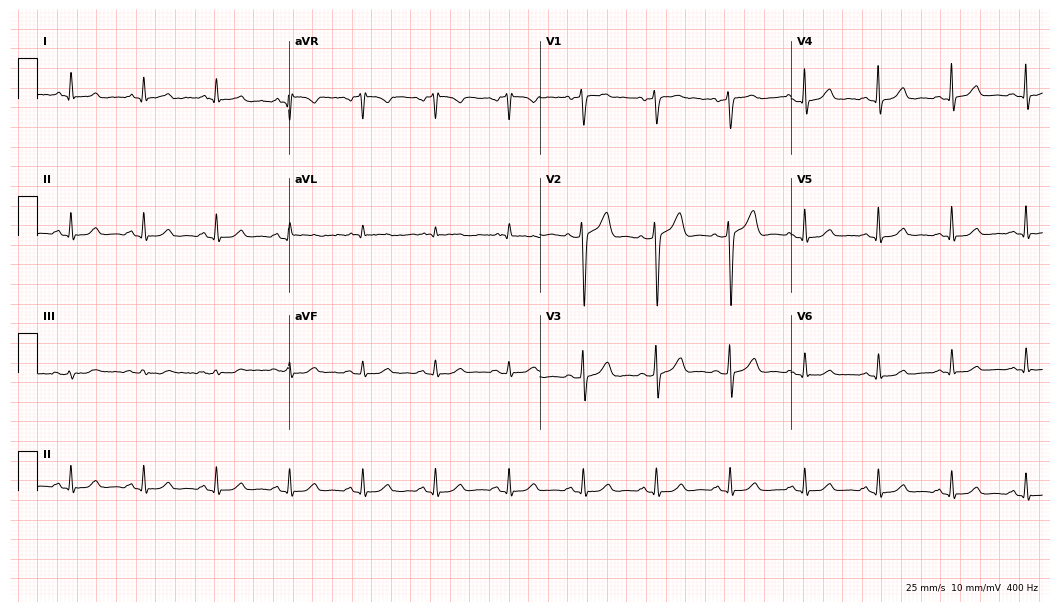
Standard 12-lead ECG recorded from a 60-year-old man. Read as a normal ECG.